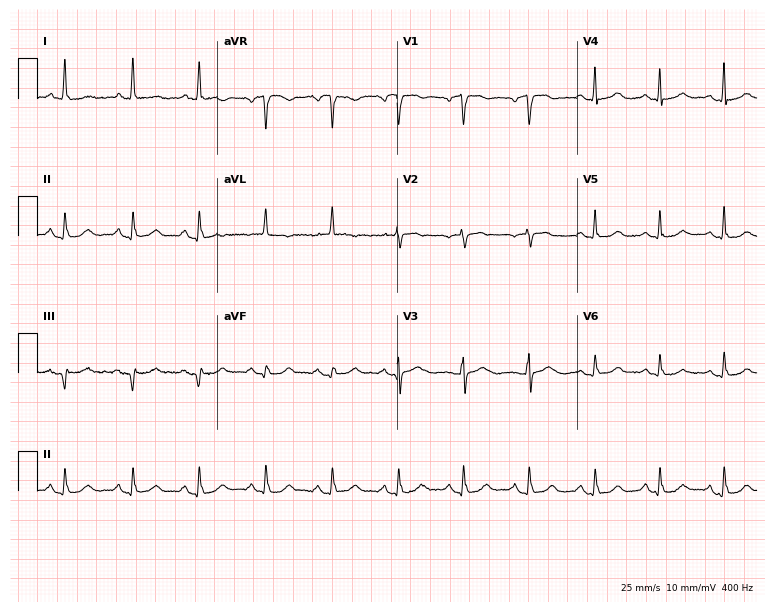
Resting 12-lead electrocardiogram. Patient: an 85-year-old female. Read as a normal ECG.